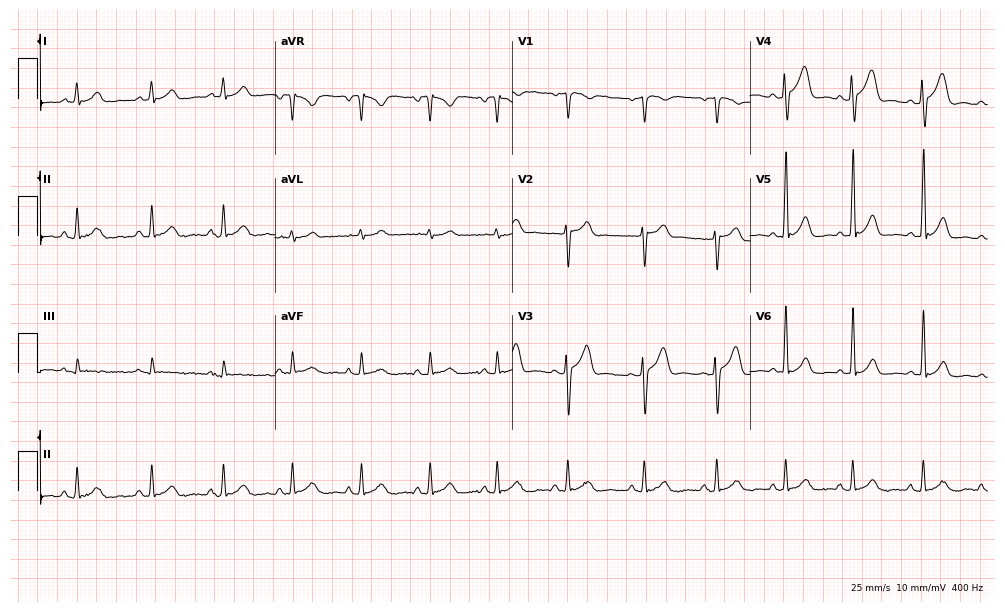
12-lead ECG from a 28-year-old male patient. No first-degree AV block, right bundle branch block, left bundle branch block, sinus bradycardia, atrial fibrillation or sinus tachycardia recorded for this tracing.